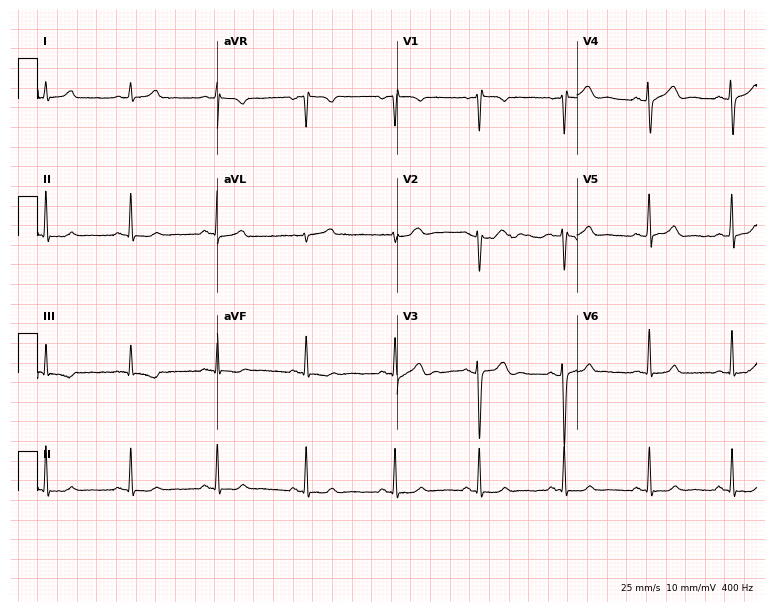
Standard 12-lead ECG recorded from a 24-year-old female patient (7.3-second recording at 400 Hz). None of these six findings is recorded: first-degree AV block, right bundle branch block, left bundle branch block, sinus bradycardia, atrial fibrillation, sinus tachycardia. Other findings, if any, are not listed.